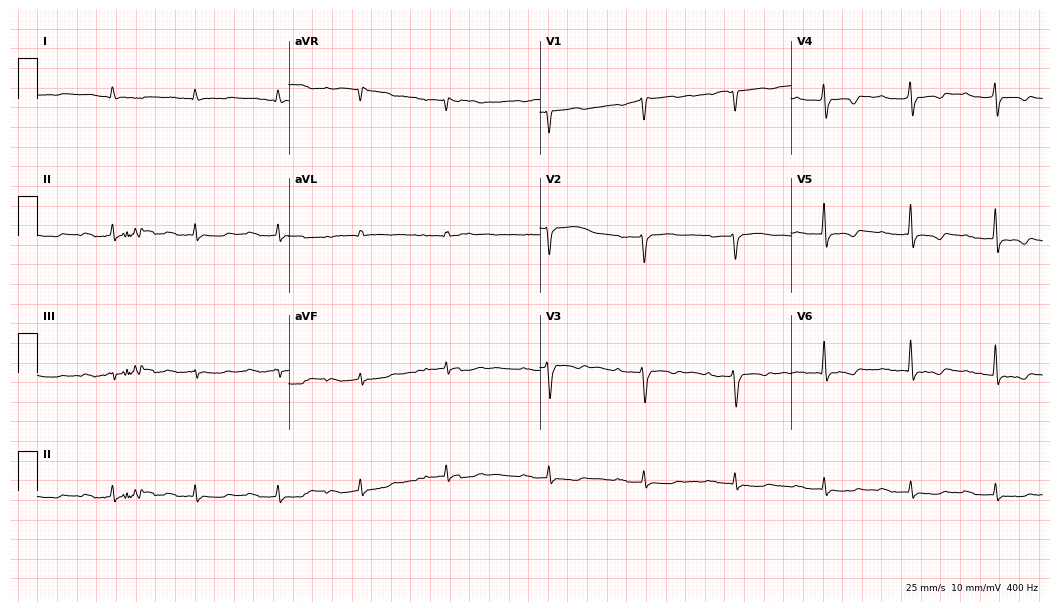
Standard 12-lead ECG recorded from a 74-year-old man (10.2-second recording at 400 Hz). The tracing shows atrial fibrillation (AF).